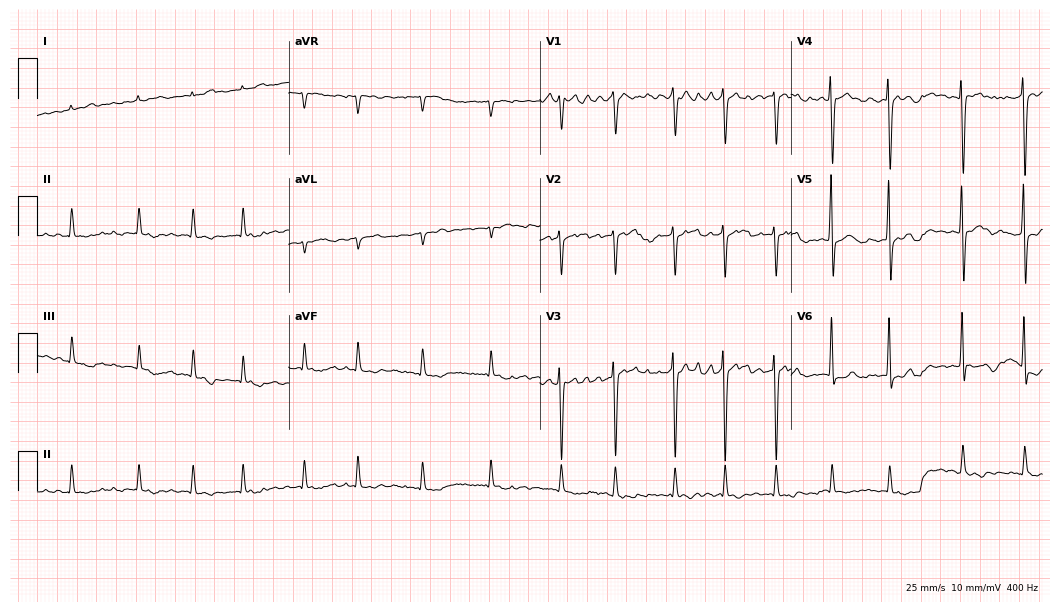
12-lead ECG from a woman, 71 years old (10.2-second recording at 400 Hz). Shows atrial fibrillation.